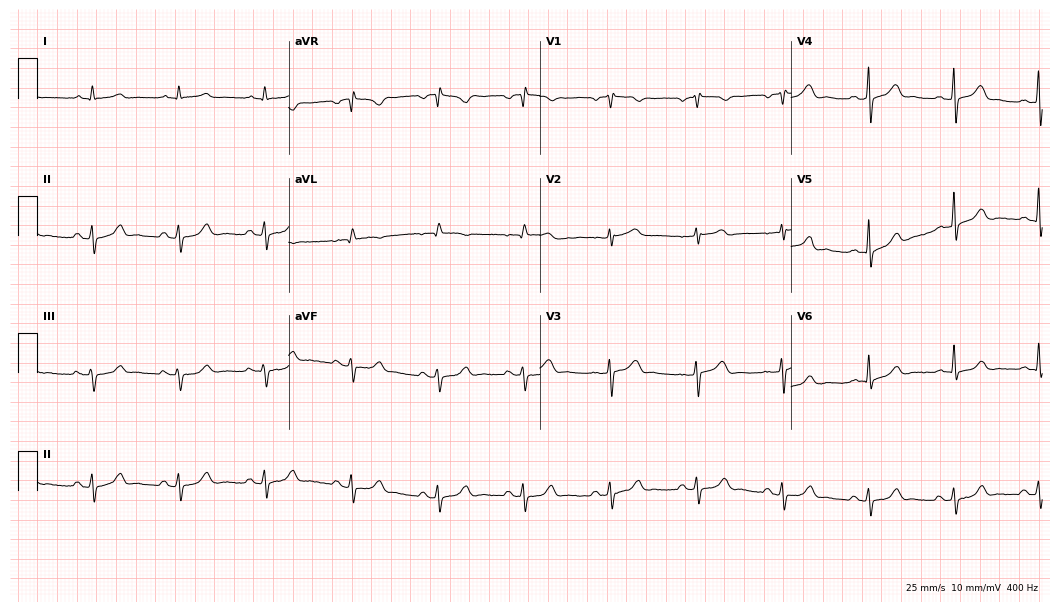
ECG — a 69-year-old man. Screened for six findings — first-degree AV block, right bundle branch block (RBBB), left bundle branch block (LBBB), sinus bradycardia, atrial fibrillation (AF), sinus tachycardia — none is recorded. Other findings, if any, are not listed.